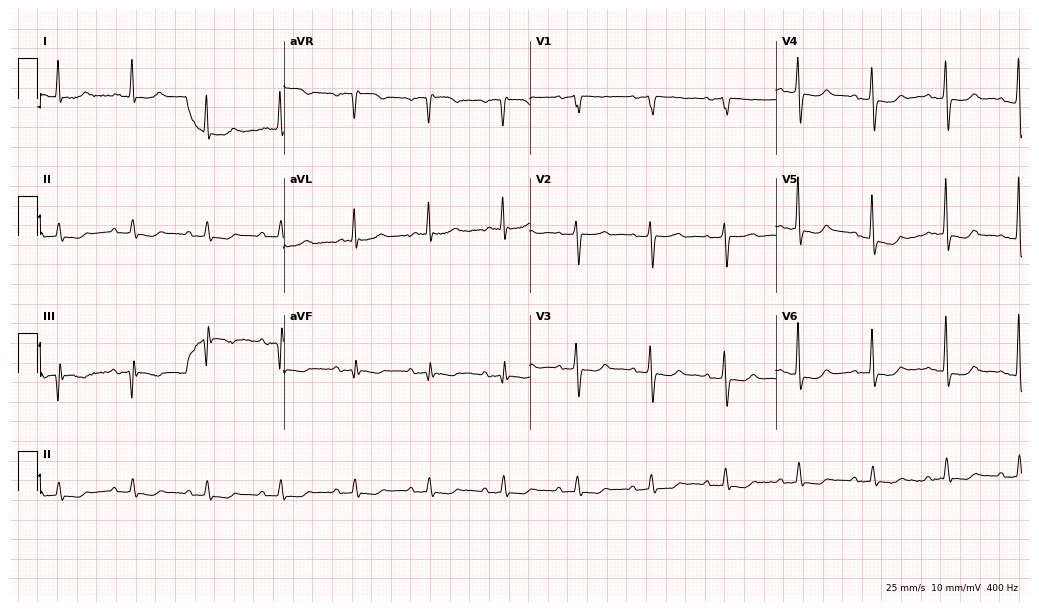
Resting 12-lead electrocardiogram (10-second recording at 400 Hz). Patient: an 87-year-old female. Read as a normal ECG.